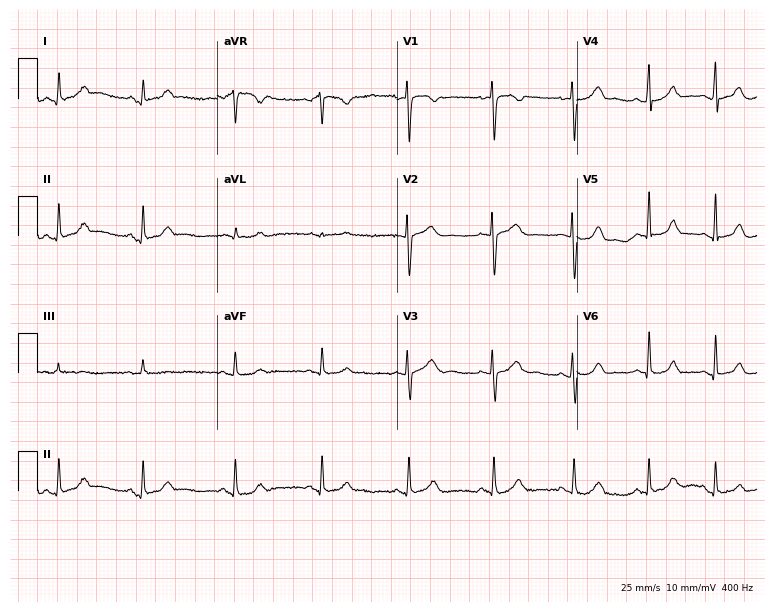
12-lead ECG (7.3-second recording at 400 Hz) from a 26-year-old female. Labelled as a normal ECG.